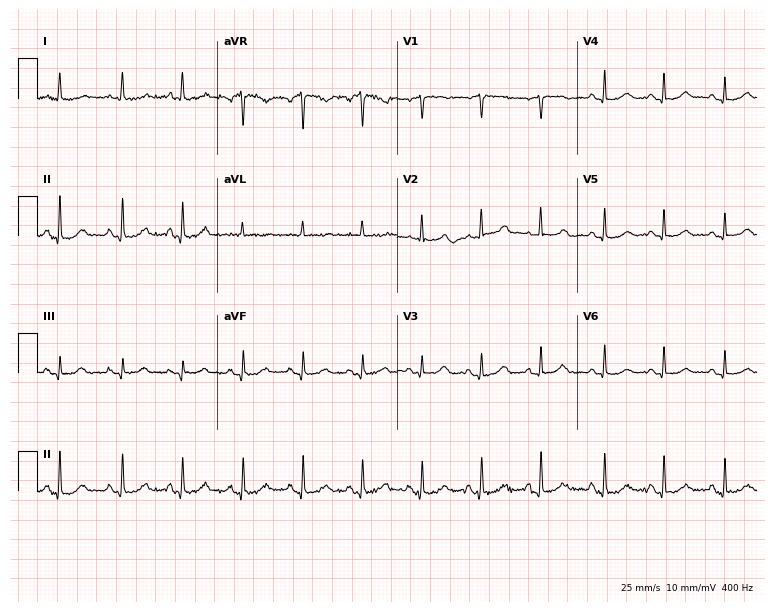
12-lead ECG from a woman, 81 years old. Recorded interpretation: within normal limits.